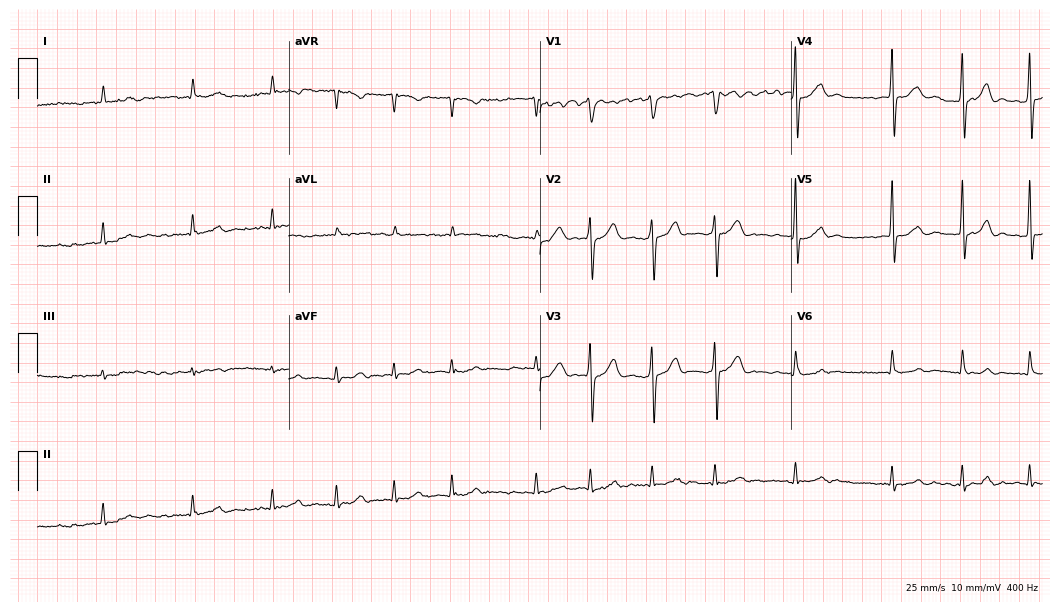
Resting 12-lead electrocardiogram. Patient: a male, 63 years old. The tracing shows atrial fibrillation.